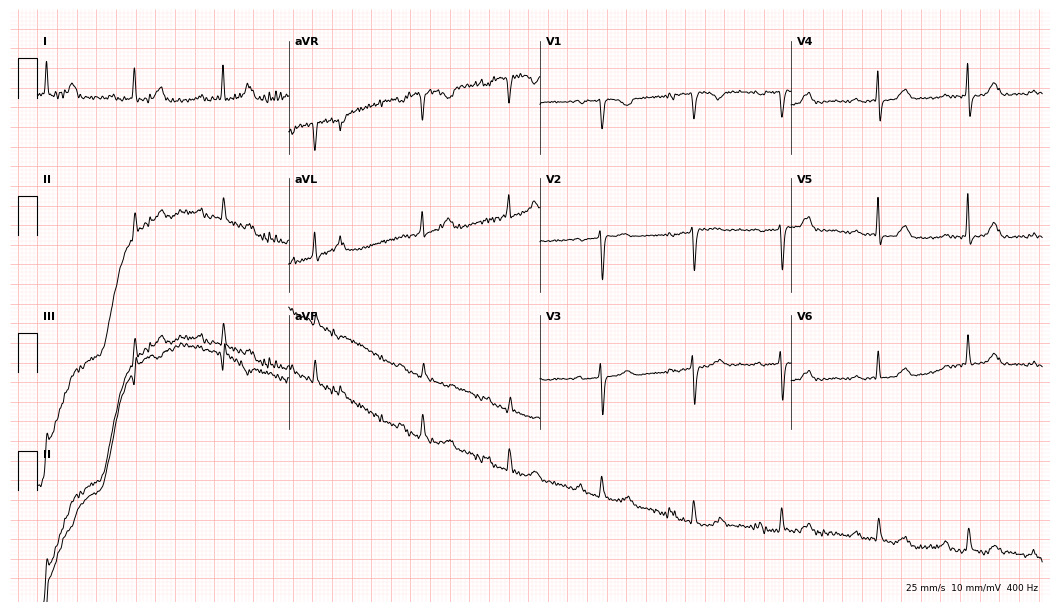
12-lead ECG from a woman, 74 years old (10.2-second recording at 400 Hz). No first-degree AV block, right bundle branch block, left bundle branch block, sinus bradycardia, atrial fibrillation or sinus tachycardia recorded for this tracing. Findings outside these six are not listed.